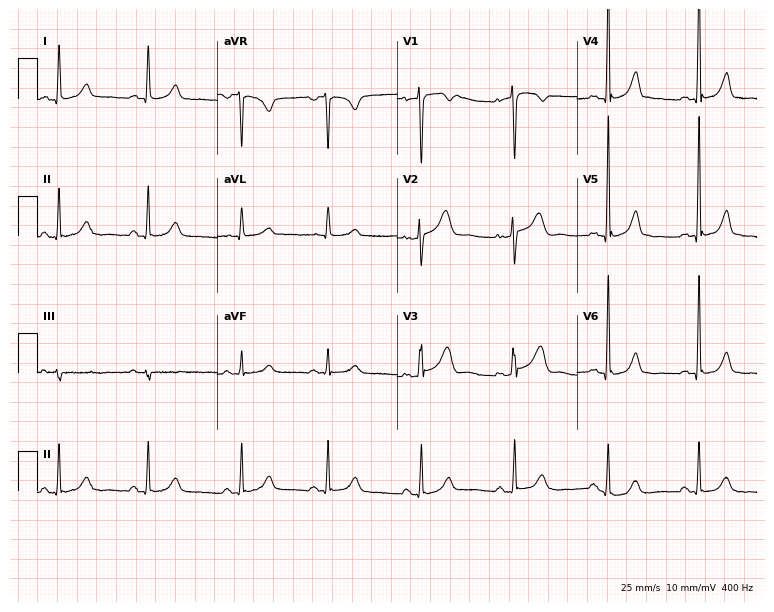
ECG — a female patient, 40 years old. Labelled as a normal ECG.